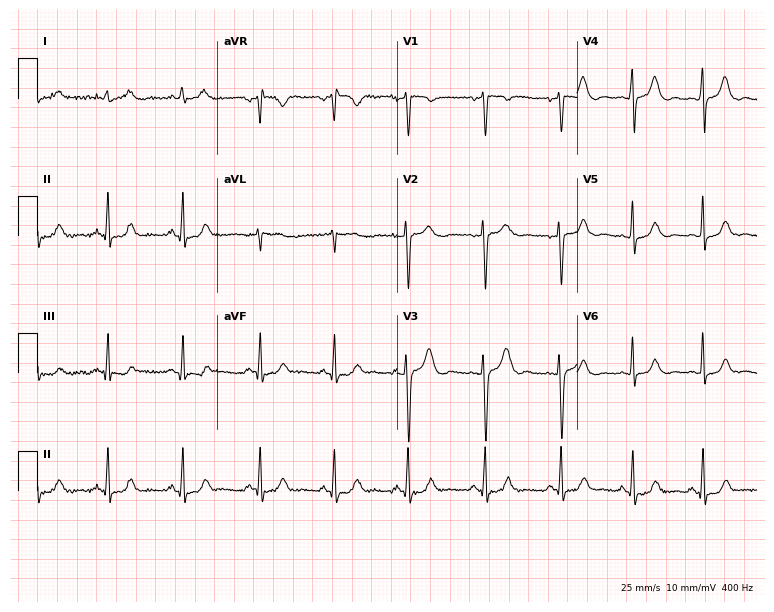
Electrocardiogram, a woman, 26 years old. Overall reading on record: normal ECG.